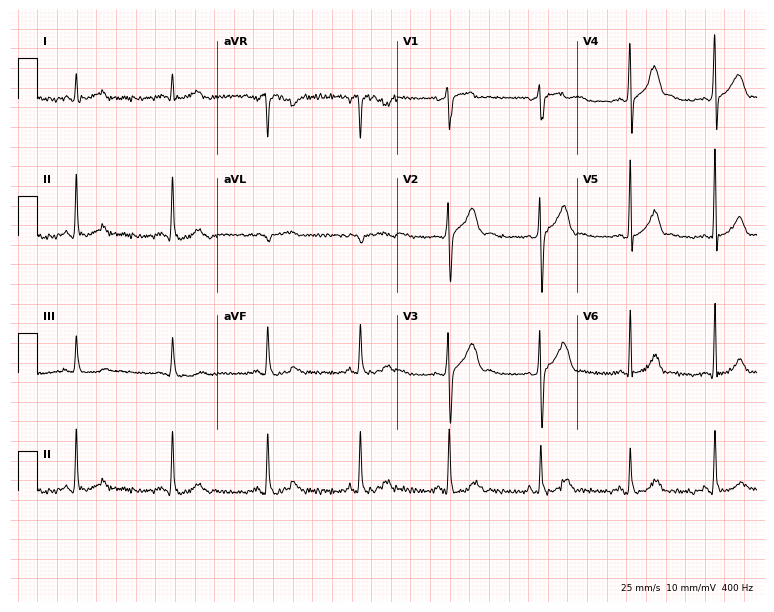
Resting 12-lead electrocardiogram (7.3-second recording at 400 Hz). Patient: a man, 28 years old. Read as a normal ECG.